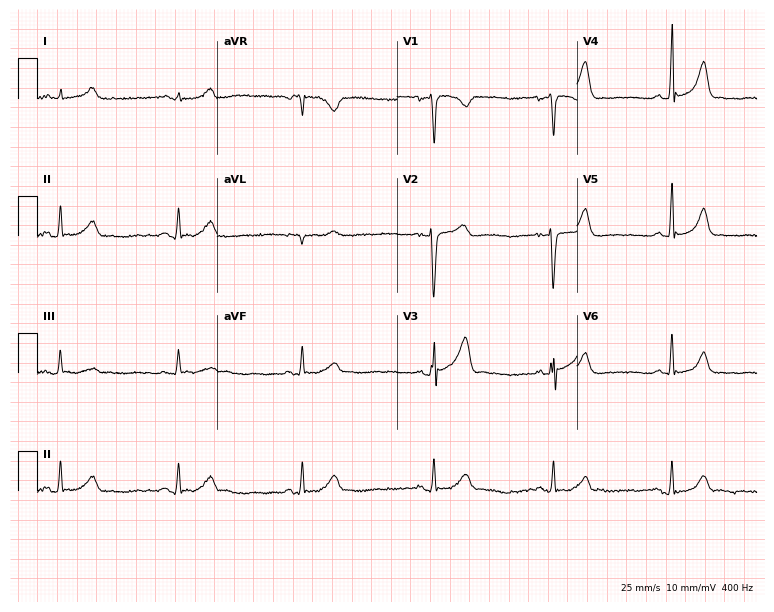
12-lead ECG from a male, 28 years old. Findings include sinus bradycardia (a sinus rate of 50 beats per minute or less).